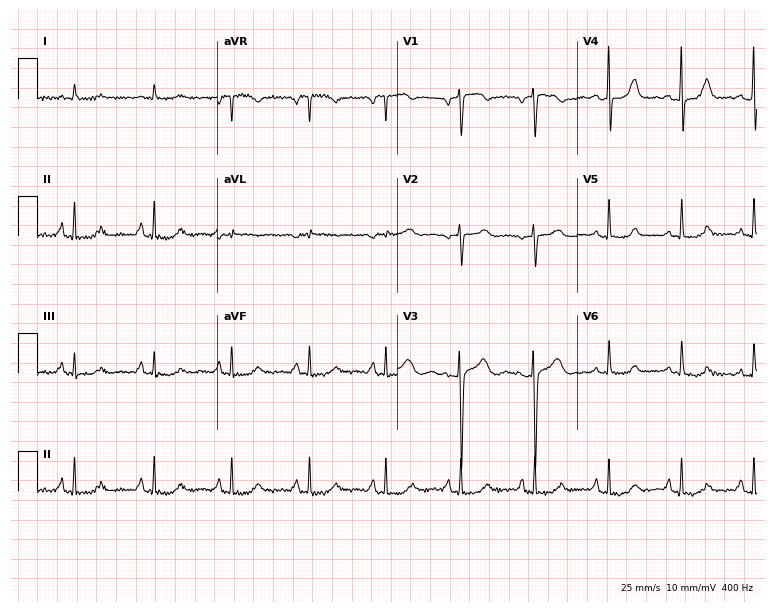
12-lead ECG from a 54-year-old female patient (7.3-second recording at 400 Hz). No first-degree AV block, right bundle branch block (RBBB), left bundle branch block (LBBB), sinus bradycardia, atrial fibrillation (AF) or sinus tachycardia recorded for this tracing.